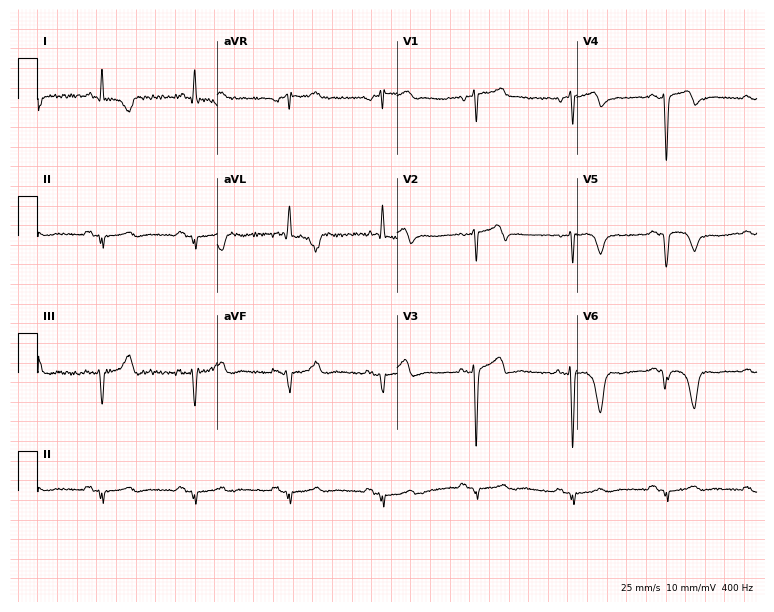
ECG — a 50-year-old man. Screened for six findings — first-degree AV block, right bundle branch block, left bundle branch block, sinus bradycardia, atrial fibrillation, sinus tachycardia — none is recorded.